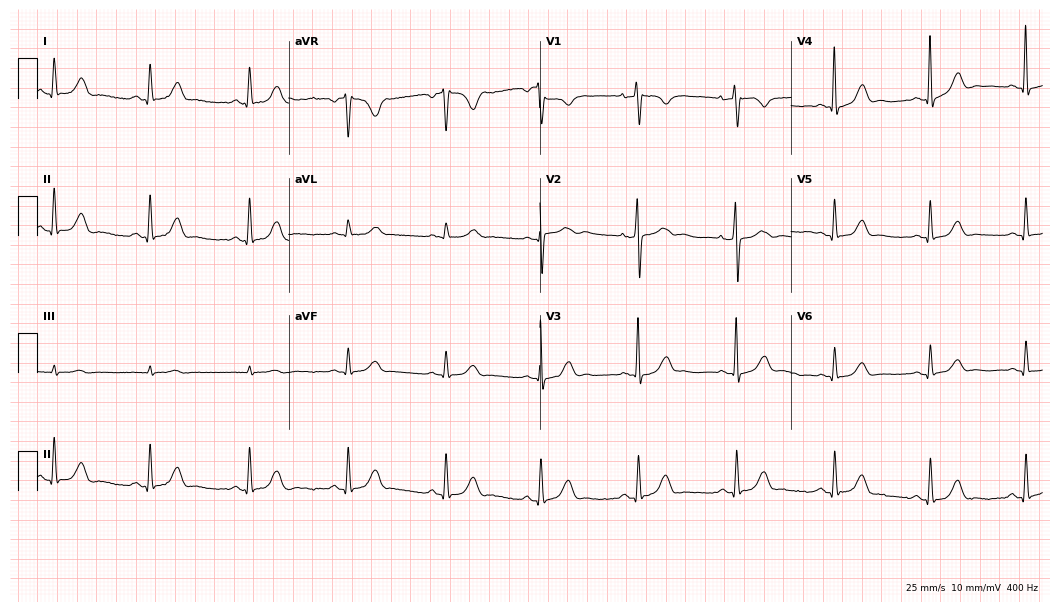
Electrocardiogram (10.2-second recording at 400 Hz), a woman, 70 years old. Overall reading on record: normal ECG.